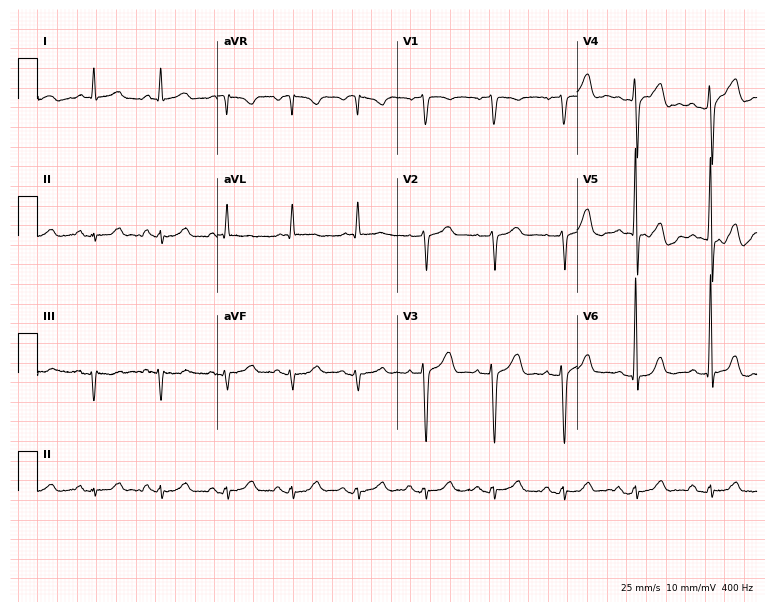
ECG (7.3-second recording at 400 Hz) — a 62-year-old male. Screened for six findings — first-degree AV block, right bundle branch block, left bundle branch block, sinus bradycardia, atrial fibrillation, sinus tachycardia — none is recorded. Only these six findings were labelled.